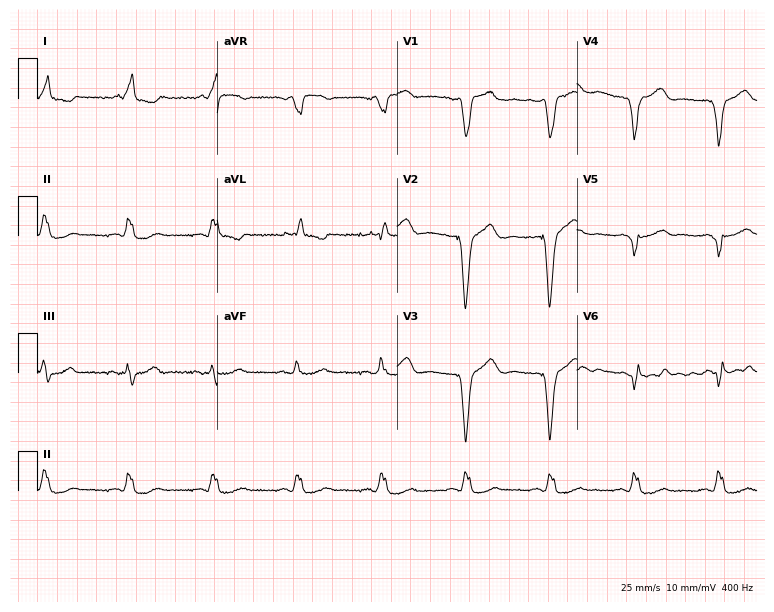
Resting 12-lead electrocardiogram. Patient: a 60-year-old female. None of these six findings is recorded: first-degree AV block, right bundle branch block, left bundle branch block, sinus bradycardia, atrial fibrillation, sinus tachycardia. Only these six findings were labelled.